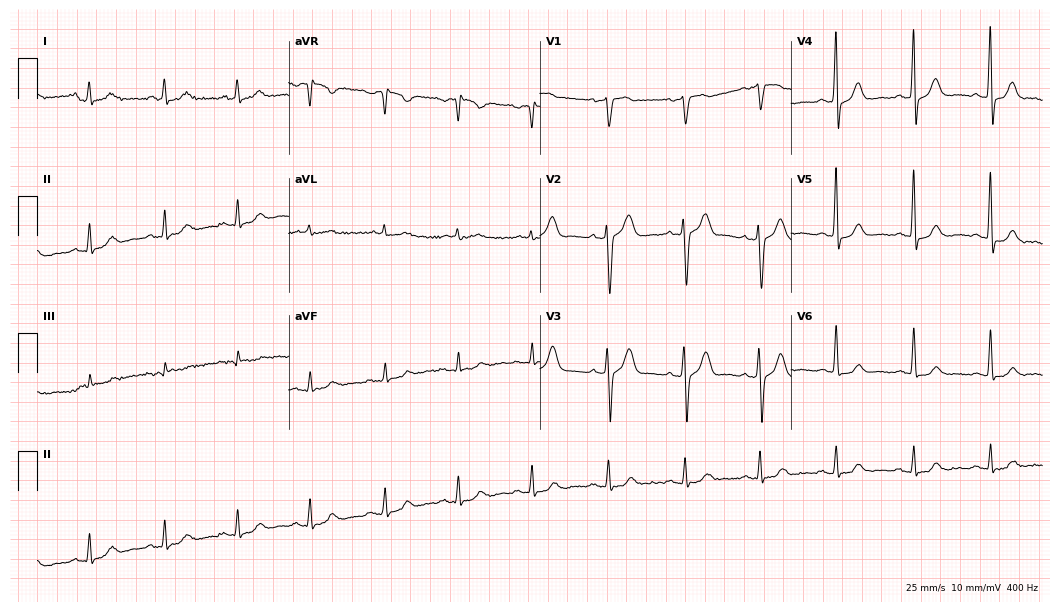
12-lead ECG from a male, 69 years old (10.2-second recording at 400 Hz). No first-degree AV block, right bundle branch block (RBBB), left bundle branch block (LBBB), sinus bradycardia, atrial fibrillation (AF) or sinus tachycardia recorded for this tracing.